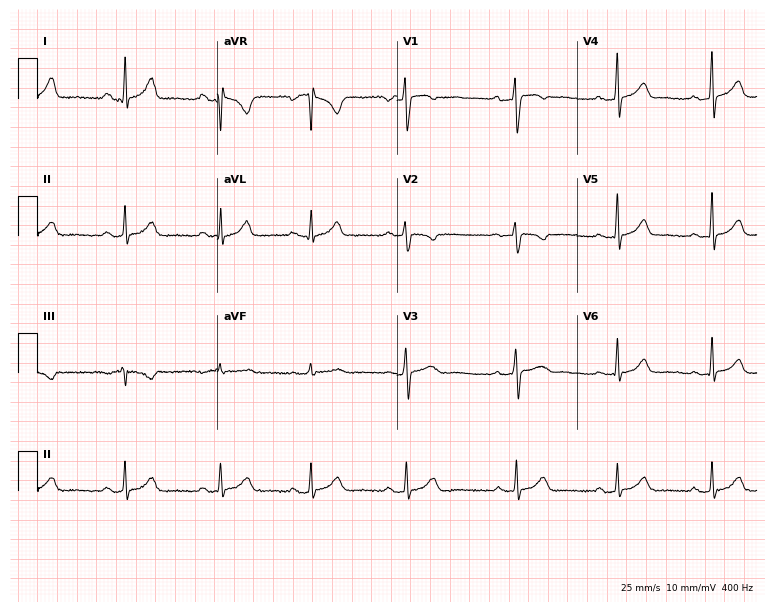
Standard 12-lead ECG recorded from a female patient, 30 years old (7.3-second recording at 400 Hz). Read as a normal ECG.